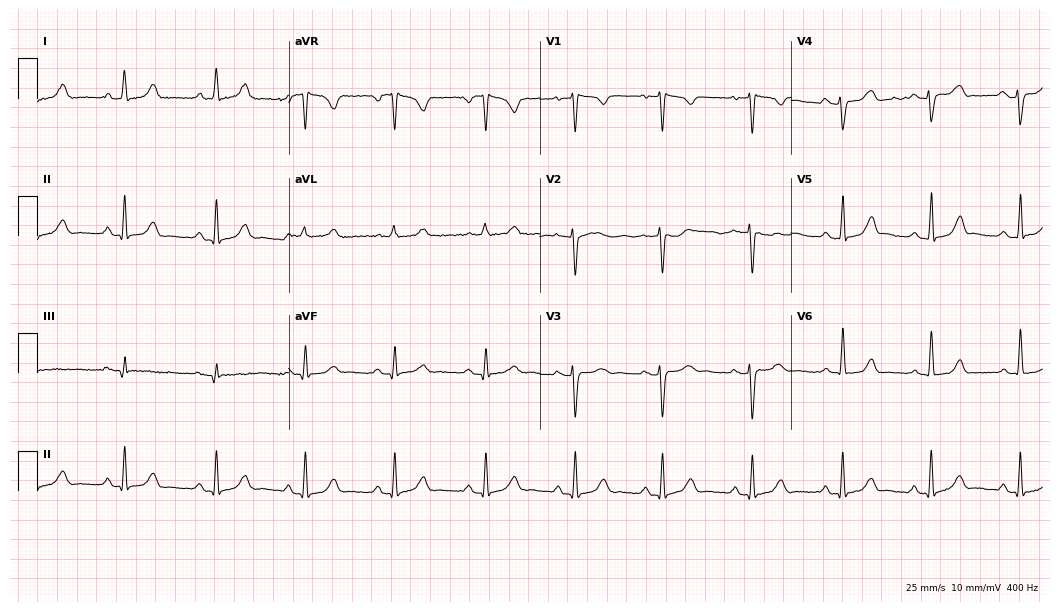
ECG — a 47-year-old woman. Labelled as a normal ECG.